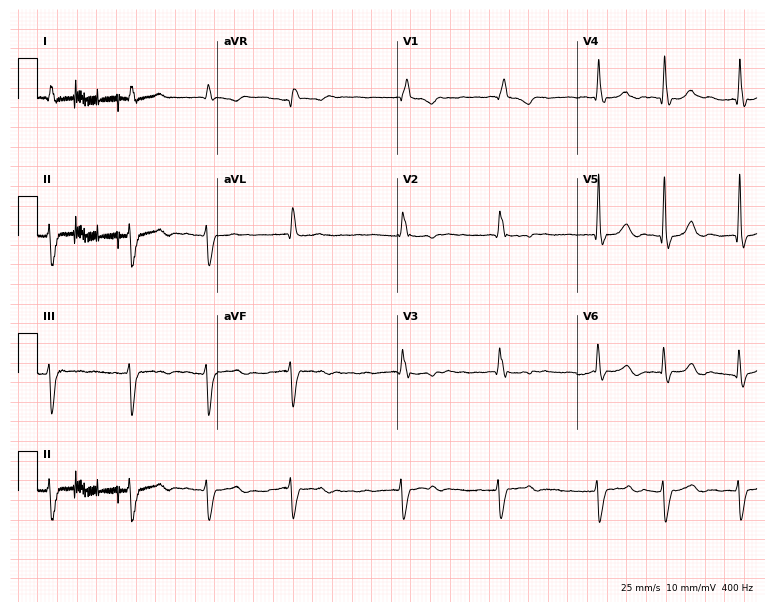
Standard 12-lead ECG recorded from a man, 81 years old (7.3-second recording at 400 Hz). The tracing shows atrial fibrillation (AF).